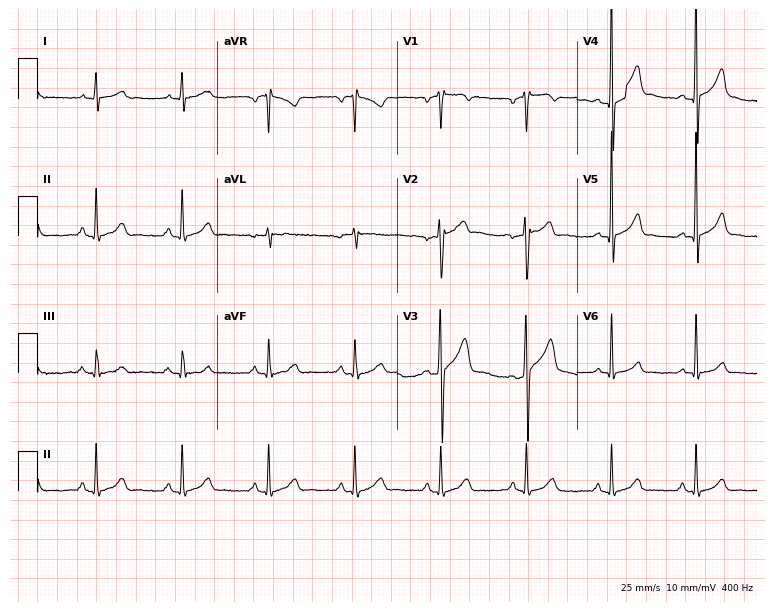
Resting 12-lead electrocardiogram (7.3-second recording at 400 Hz). Patient: a 35-year-old male. None of these six findings is recorded: first-degree AV block, right bundle branch block, left bundle branch block, sinus bradycardia, atrial fibrillation, sinus tachycardia. Other findings, if any, are not listed.